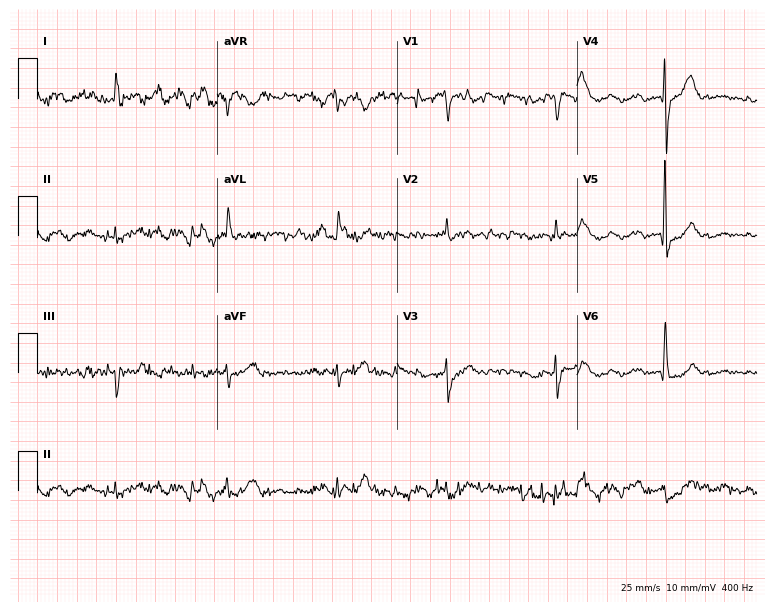
Resting 12-lead electrocardiogram. Patient: a male, 79 years old. Read as a normal ECG.